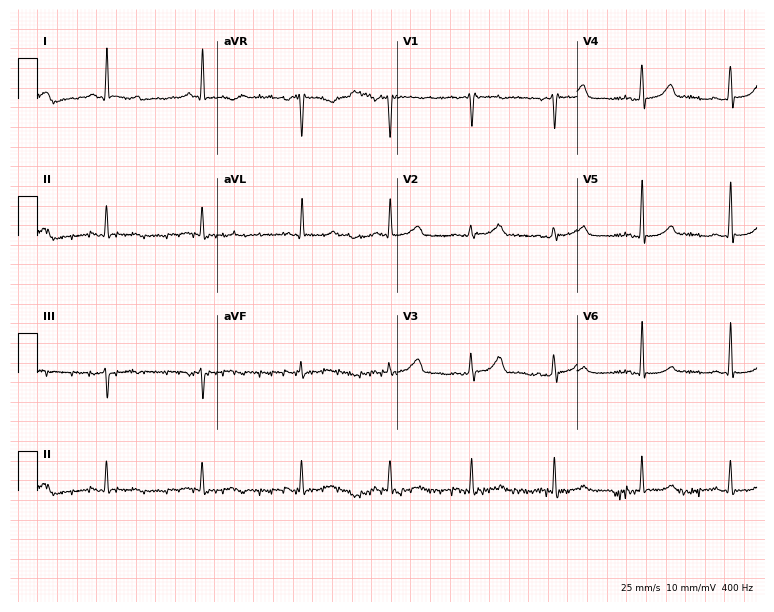
12-lead ECG from a 52-year-old female. No first-degree AV block, right bundle branch block, left bundle branch block, sinus bradycardia, atrial fibrillation or sinus tachycardia recorded for this tracing. Only these six findings were labelled.